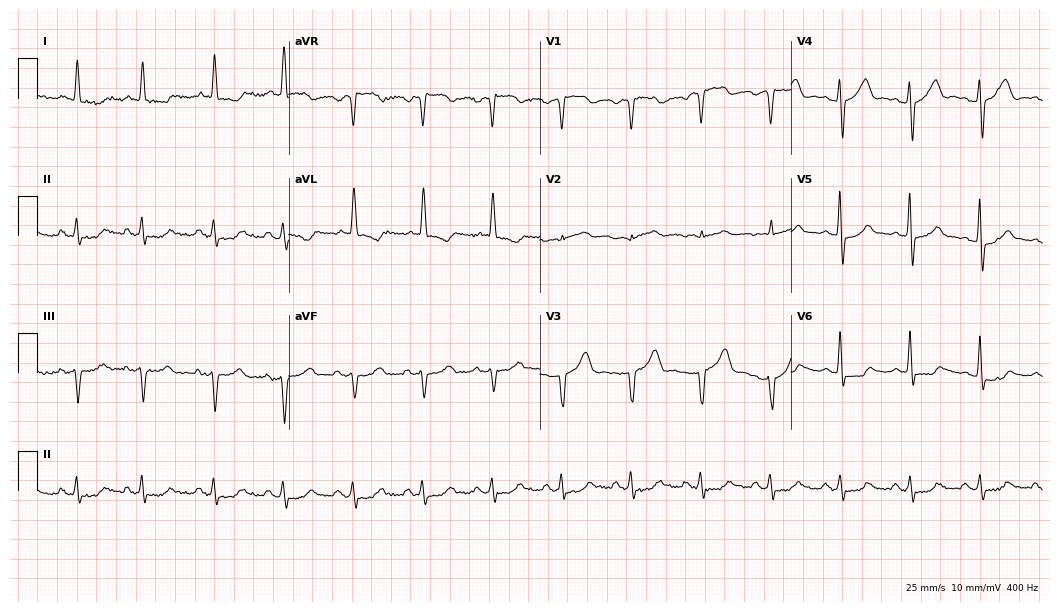
Standard 12-lead ECG recorded from a male, 77 years old (10.2-second recording at 400 Hz). None of these six findings is recorded: first-degree AV block, right bundle branch block, left bundle branch block, sinus bradycardia, atrial fibrillation, sinus tachycardia. Only these six findings were labelled.